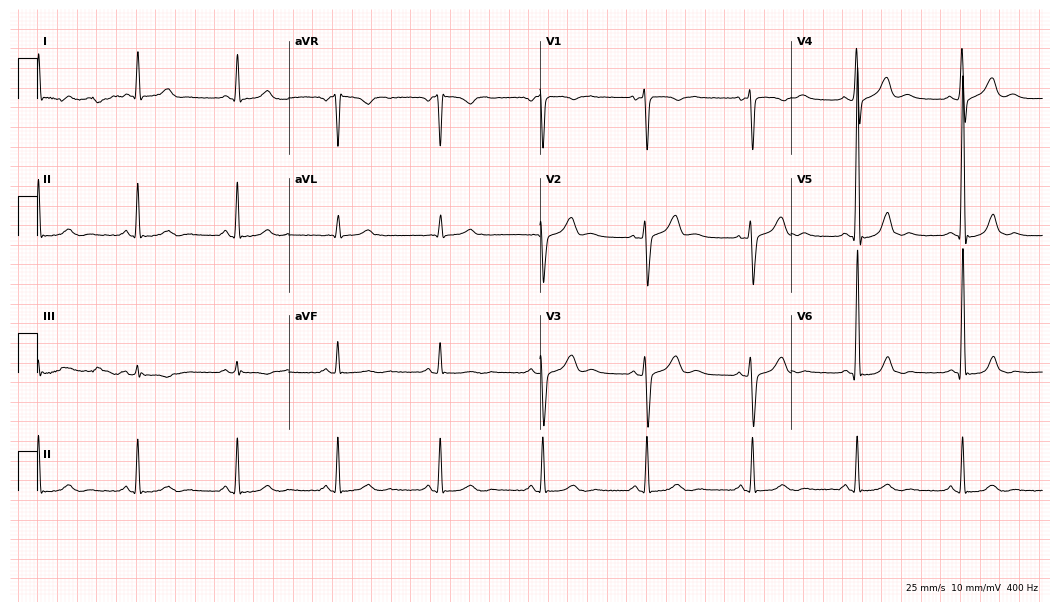
Electrocardiogram (10.2-second recording at 400 Hz), a male, 51 years old. Overall reading on record: normal ECG.